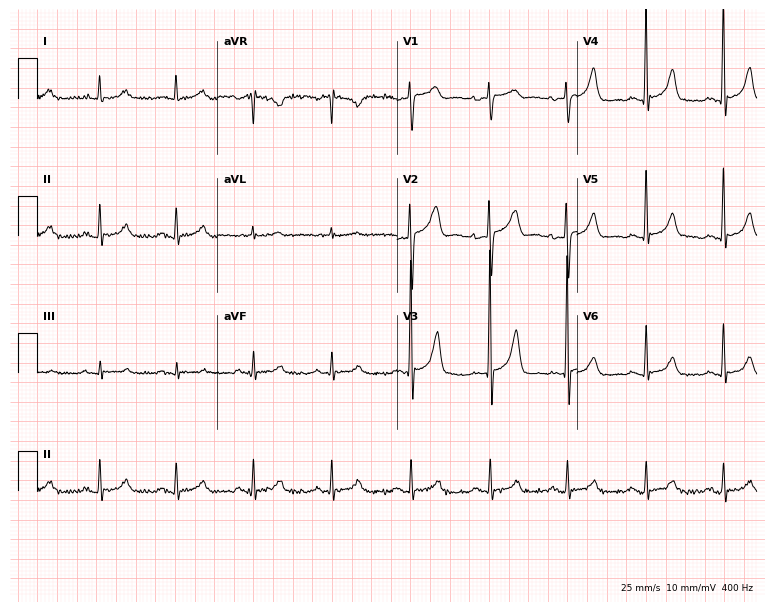
Resting 12-lead electrocardiogram. Patient: a male, 61 years old. Read as a normal ECG.